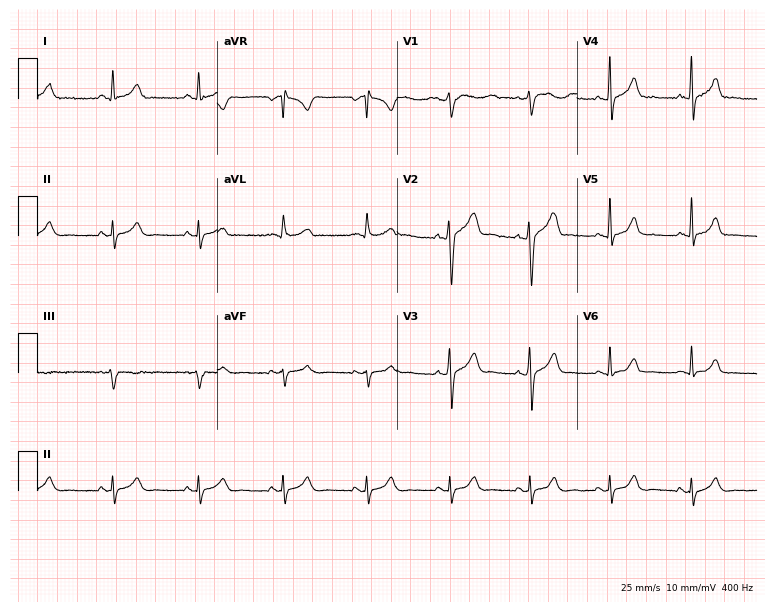
12-lead ECG from a 32-year-old man (7.3-second recording at 400 Hz). Recorded interpretation: within normal limits.